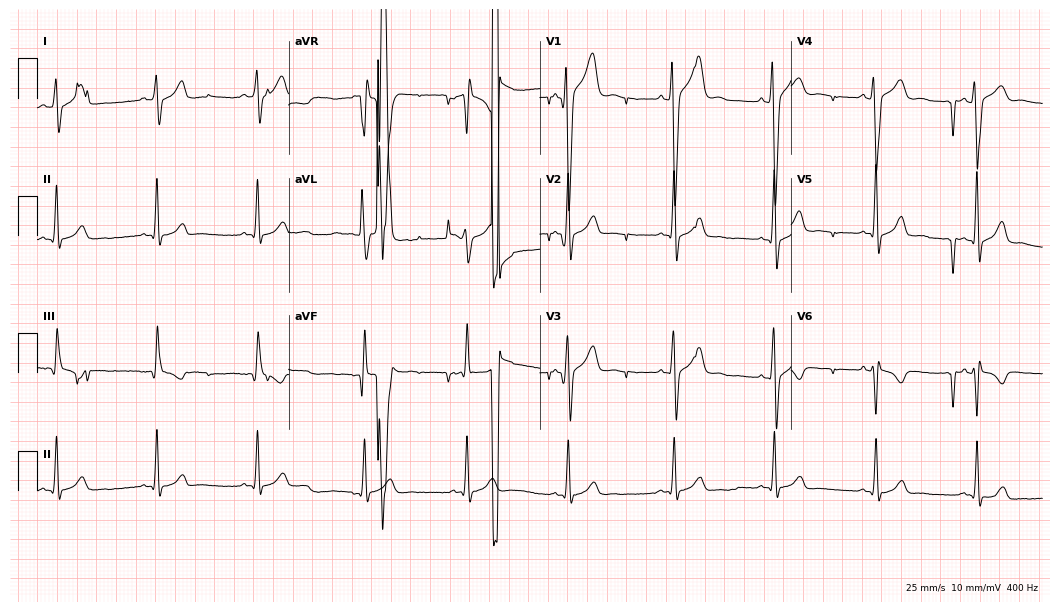
Resting 12-lead electrocardiogram (10.2-second recording at 400 Hz). Patient: a male, 21 years old. None of these six findings is recorded: first-degree AV block, right bundle branch block (RBBB), left bundle branch block (LBBB), sinus bradycardia, atrial fibrillation (AF), sinus tachycardia.